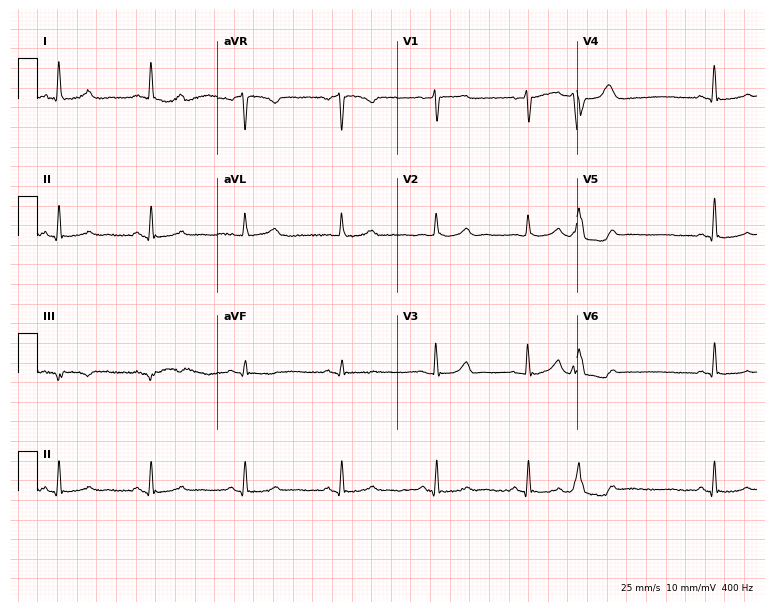
12-lead ECG from a 69-year-old female patient. Recorded interpretation: within normal limits.